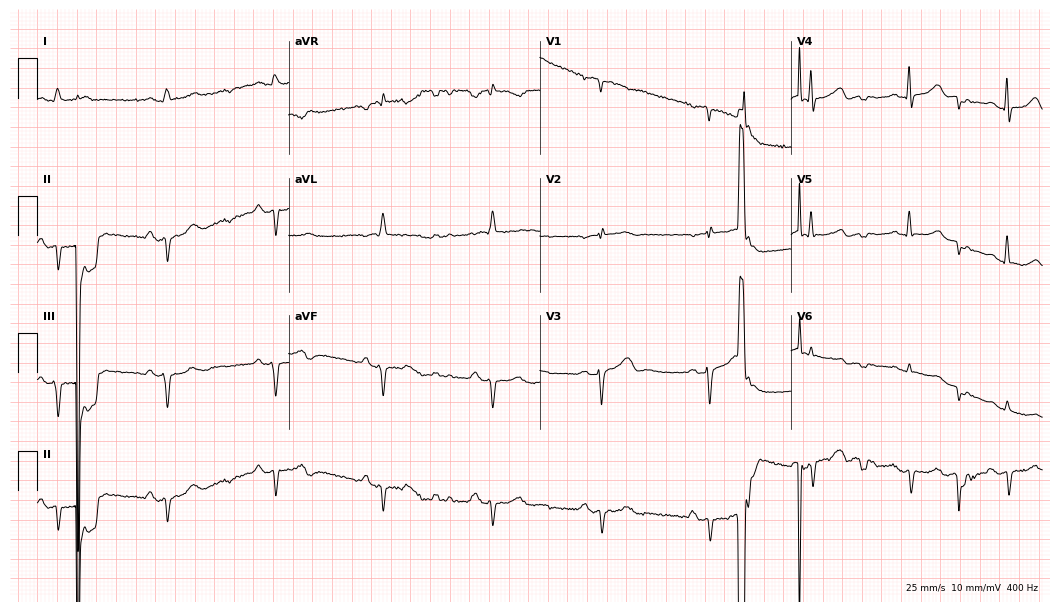
Standard 12-lead ECG recorded from a male, 67 years old. None of these six findings is recorded: first-degree AV block, right bundle branch block (RBBB), left bundle branch block (LBBB), sinus bradycardia, atrial fibrillation (AF), sinus tachycardia. Findings outside these six are not listed.